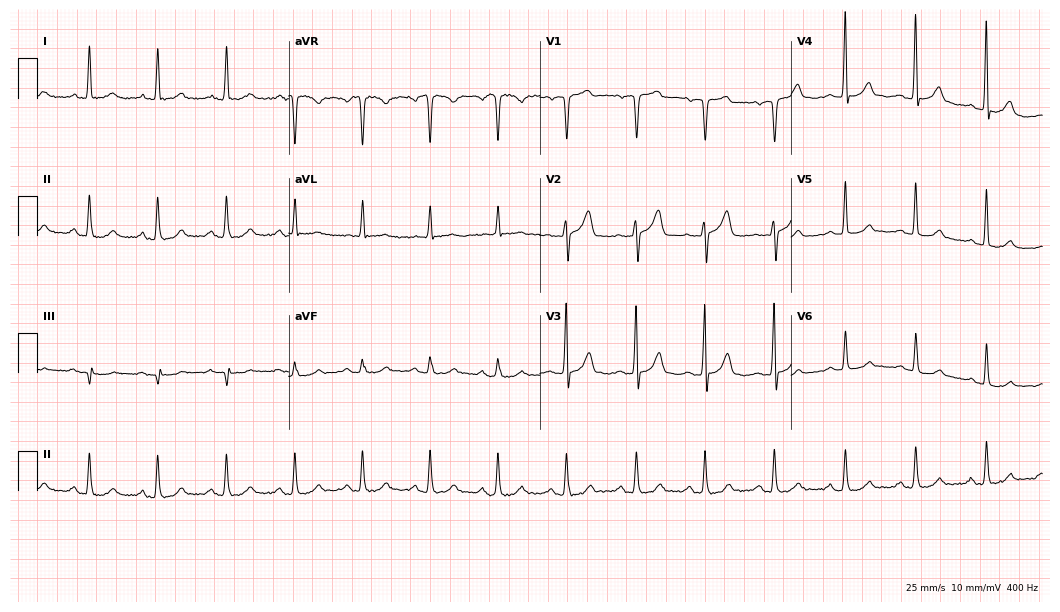
Electrocardiogram (10.2-second recording at 400 Hz), a man, 25 years old. Overall reading on record: normal ECG.